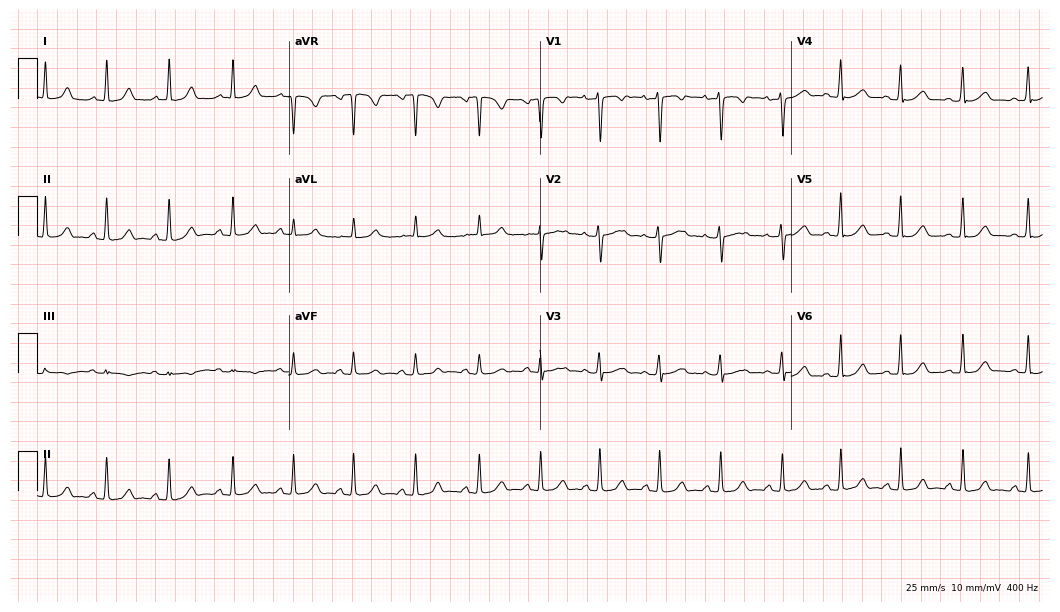
Standard 12-lead ECG recorded from a 28-year-old female patient. Read as a normal ECG.